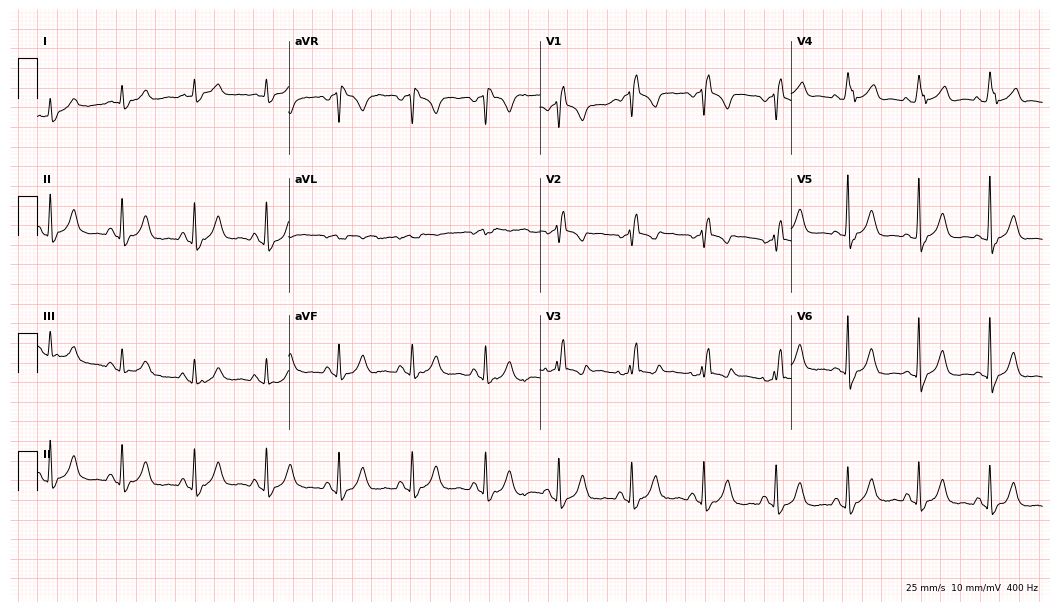
12-lead ECG from a male patient, 85 years old (10.2-second recording at 400 Hz). Shows right bundle branch block.